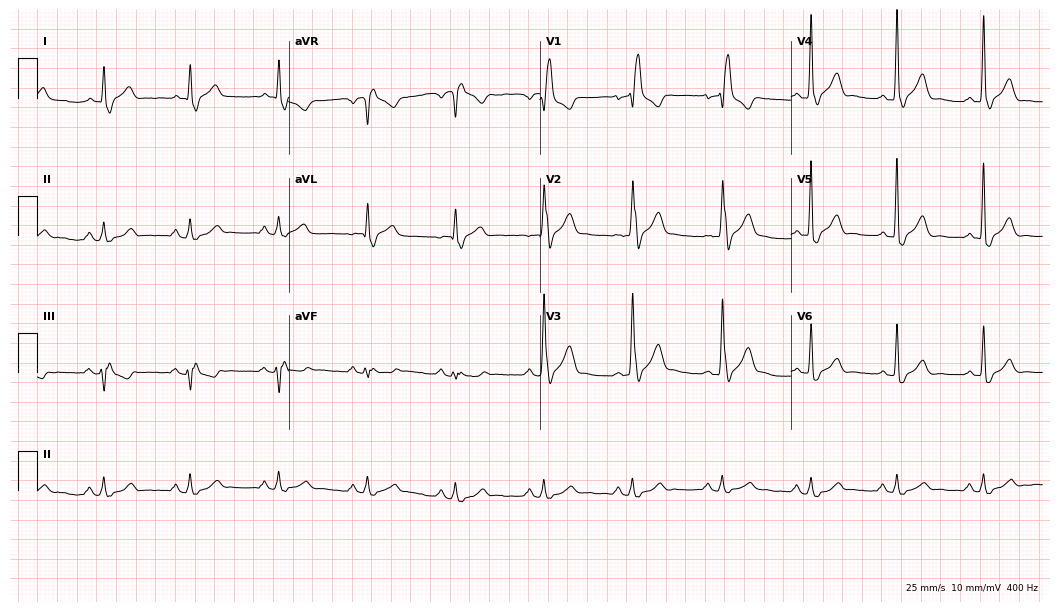
Resting 12-lead electrocardiogram. Patient: a male, 63 years old. The tracing shows right bundle branch block.